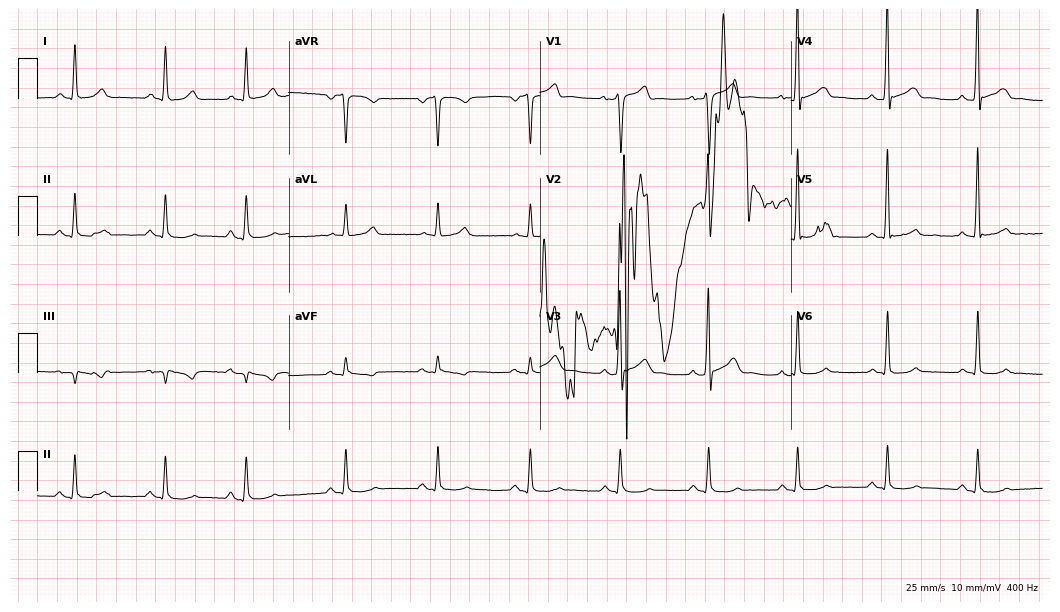
12-lead ECG from a man, 57 years old (10.2-second recording at 400 Hz). No first-degree AV block, right bundle branch block (RBBB), left bundle branch block (LBBB), sinus bradycardia, atrial fibrillation (AF) or sinus tachycardia recorded for this tracing. Only these six findings were labelled.